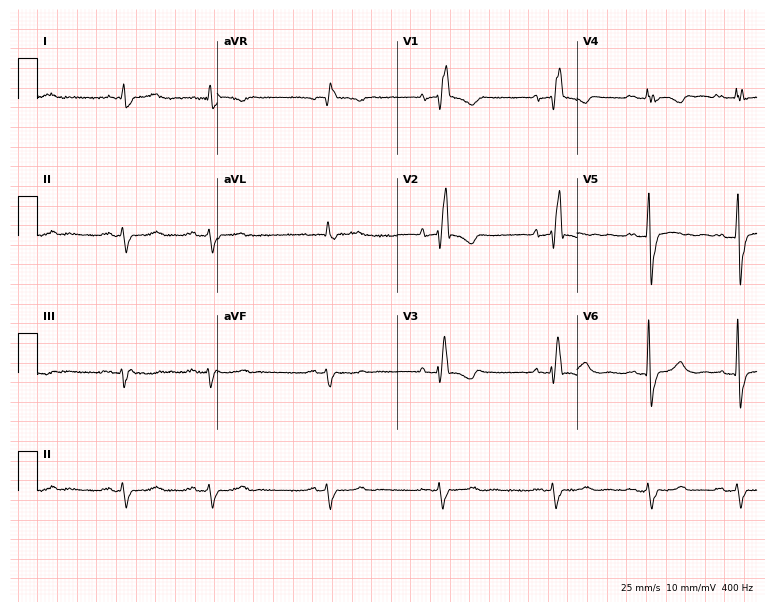
Standard 12-lead ECG recorded from a 73-year-old male. The tracing shows right bundle branch block (RBBB).